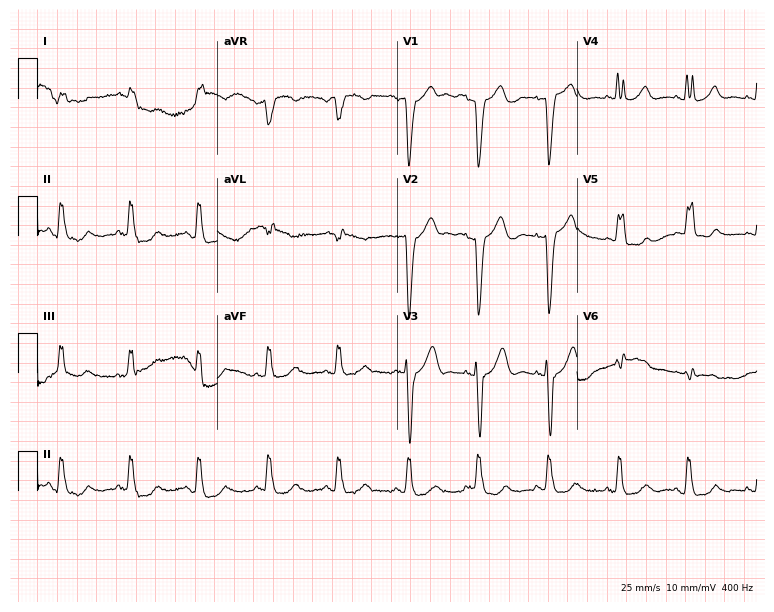
ECG — a female, 80 years old. Findings include left bundle branch block.